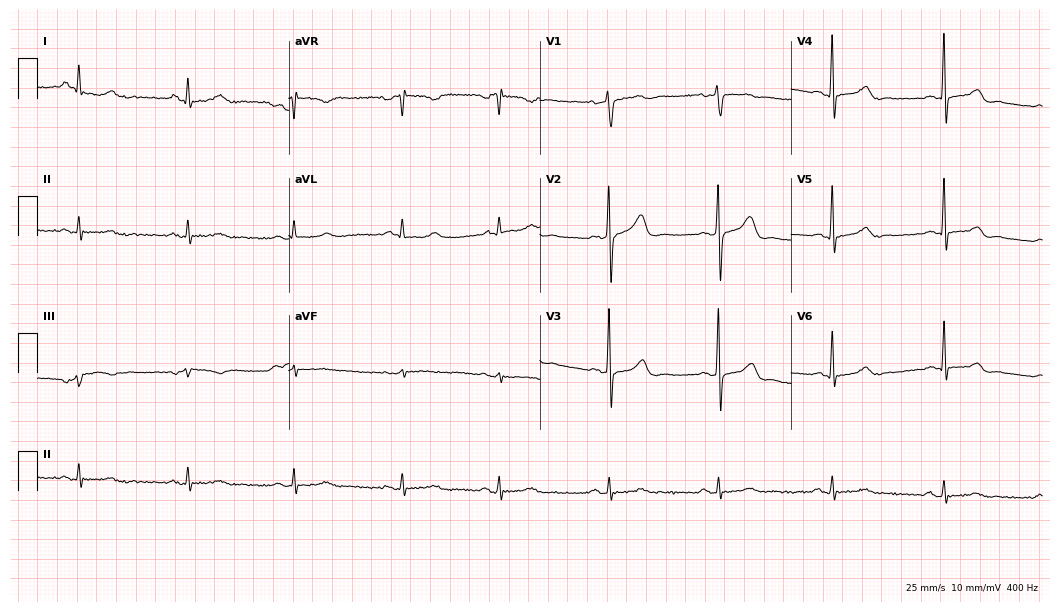
ECG (10.2-second recording at 400 Hz) — a male patient, 59 years old. Screened for six findings — first-degree AV block, right bundle branch block, left bundle branch block, sinus bradycardia, atrial fibrillation, sinus tachycardia — none is recorded. Other findings, if any, are not listed.